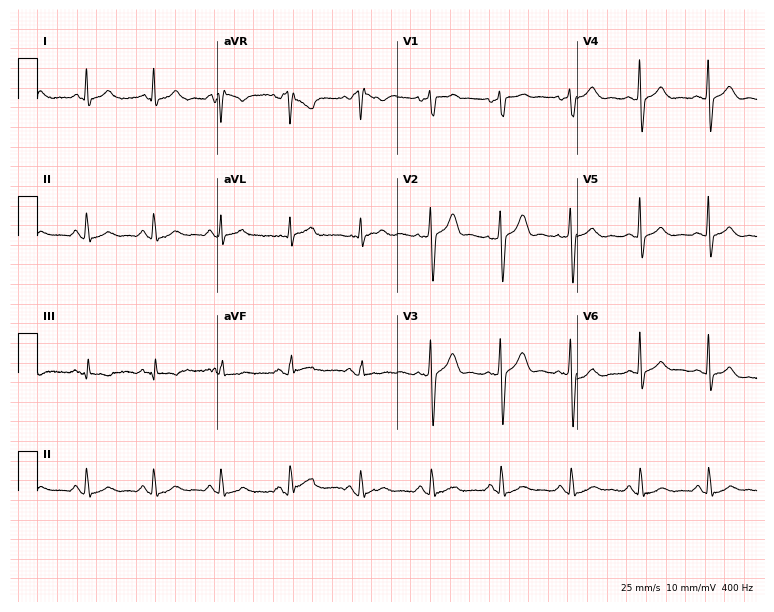
Standard 12-lead ECG recorded from a 42-year-old male patient (7.3-second recording at 400 Hz). Read as a normal ECG.